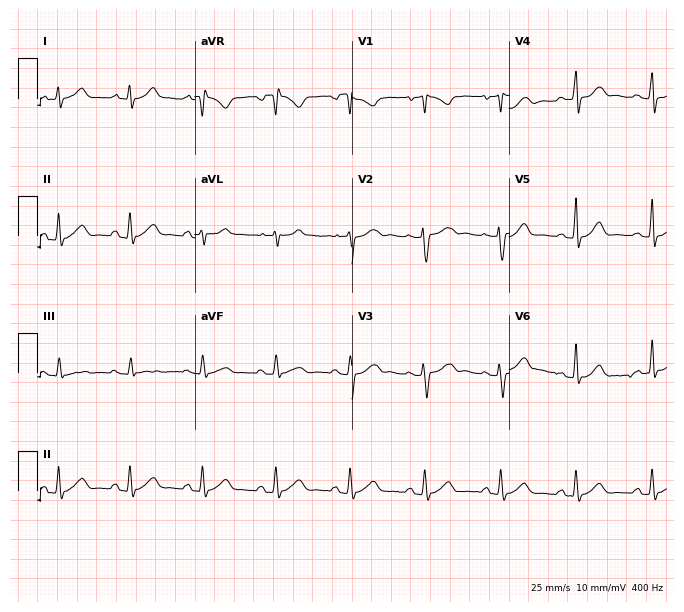
Standard 12-lead ECG recorded from a 28-year-old woman (6.4-second recording at 400 Hz). None of these six findings is recorded: first-degree AV block, right bundle branch block, left bundle branch block, sinus bradycardia, atrial fibrillation, sinus tachycardia.